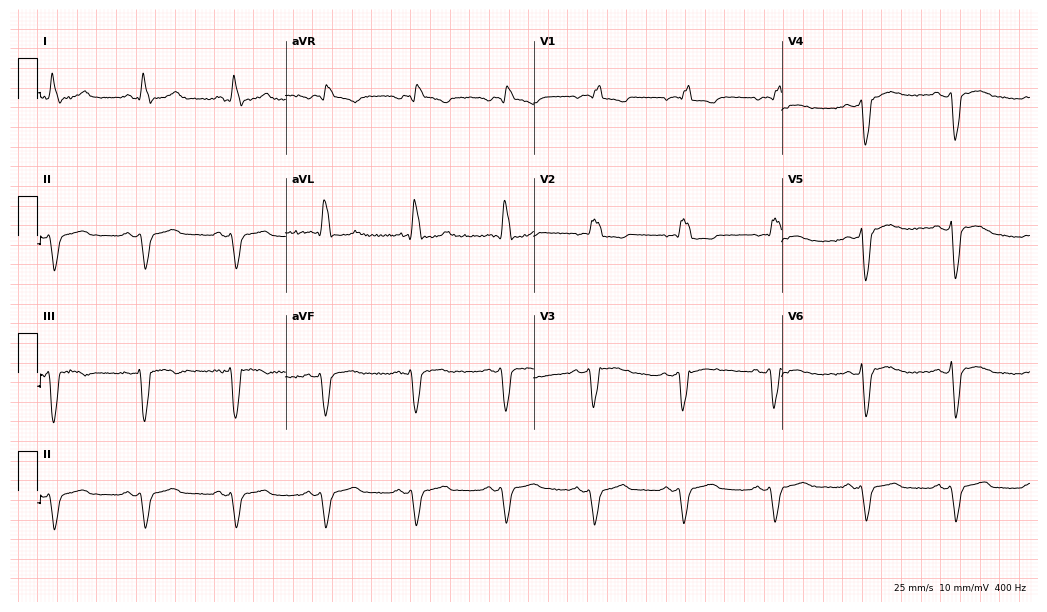
12-lead ECG from a woman, 70 years old. Shows right bundle branch block.